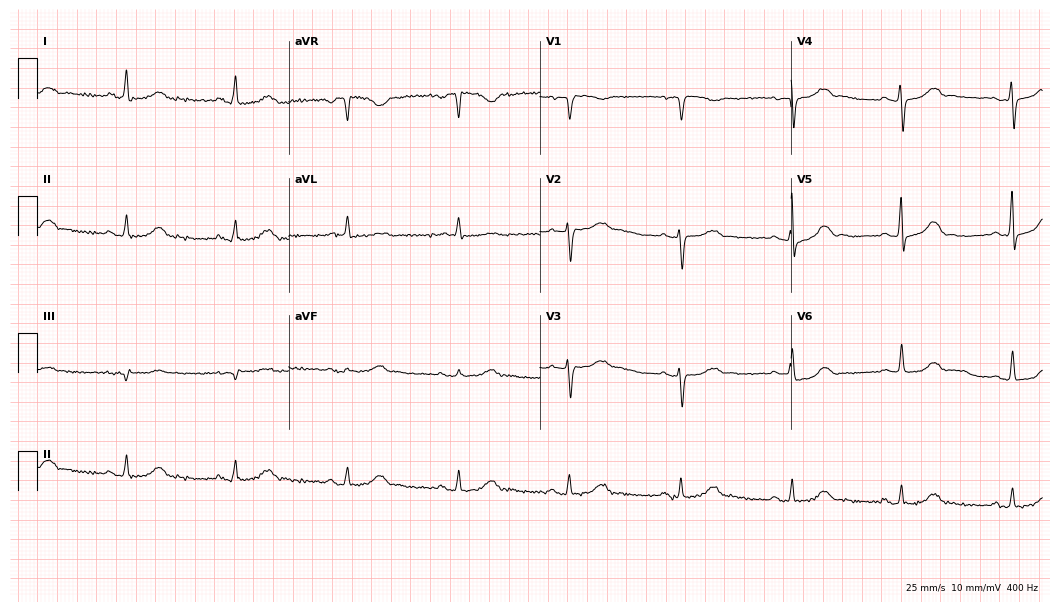
ECG (10.2-second recording at 400 Hz) — a female, 74 years old. Screened for six findings — first-degree AV block, right bundle branch block, left bundle branch block, sinus bradycardia, atrial fibrillation, sinus tachycardia — none is recorded. Findings outside these six are not listed.